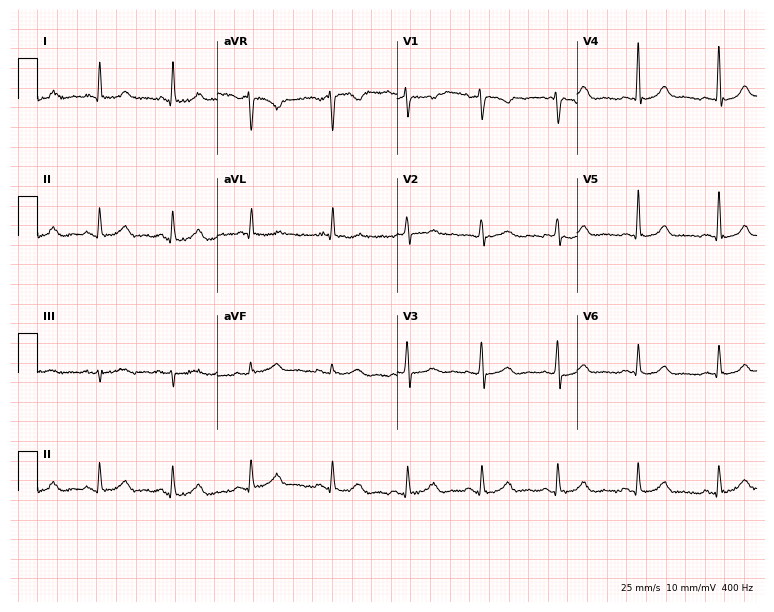
ECG (7.3-second recording at 400 Hz) — a female, 52 years old. Labelled as a normal ECG.